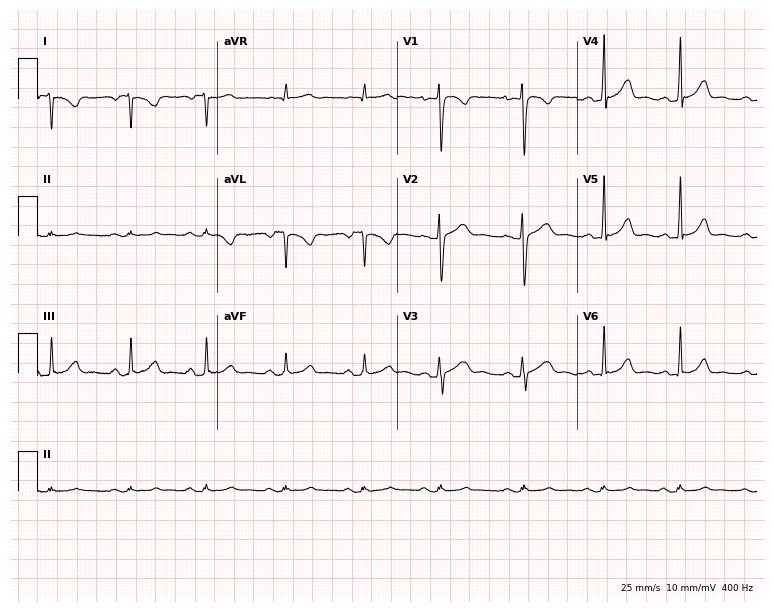
Resting 12-lead electrocardiogram (7.3-second recording at 400 Hz). Patient: a female, 35 years old. None of these six findings is recorded: first-degree AV block, right bundle branch block, left bundle branch block, sinus bradycardia, atrial fibrillation, sinus tachycardia.